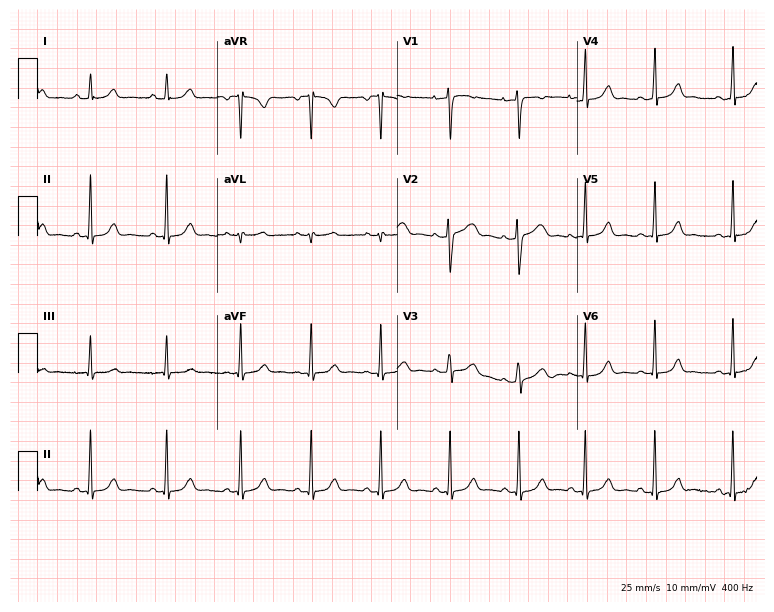
12-lead ECG (7.3-second recording at 400 Hz) from a woman, 19 years old. Labelled as a normal ECG.